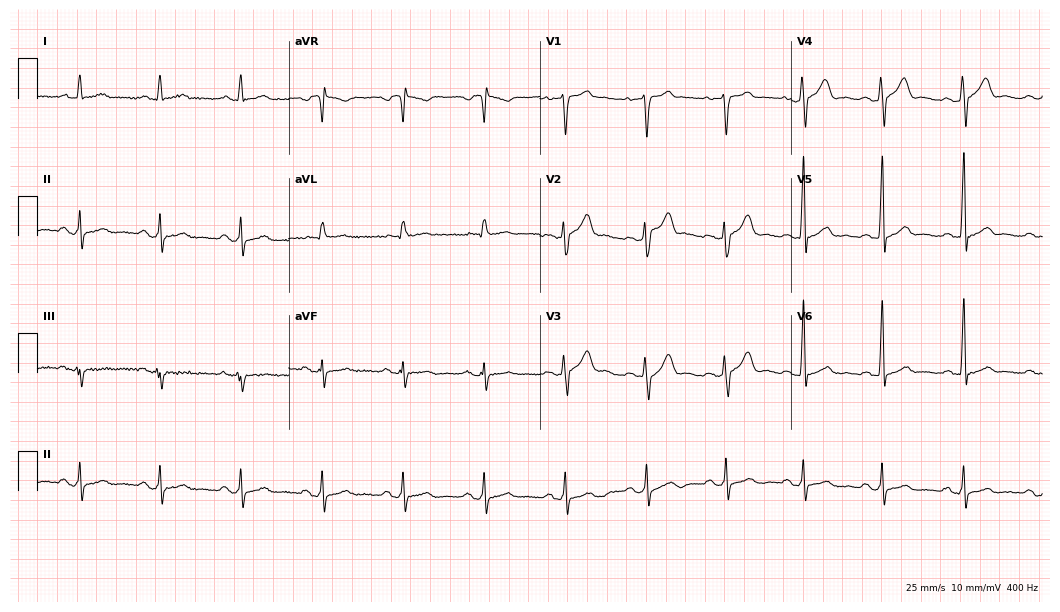
Resting 12-lead electrocardiogram (10.2-second recording at 400 Hz). Patient: a 40-year-old male. Read as a normal ECG.